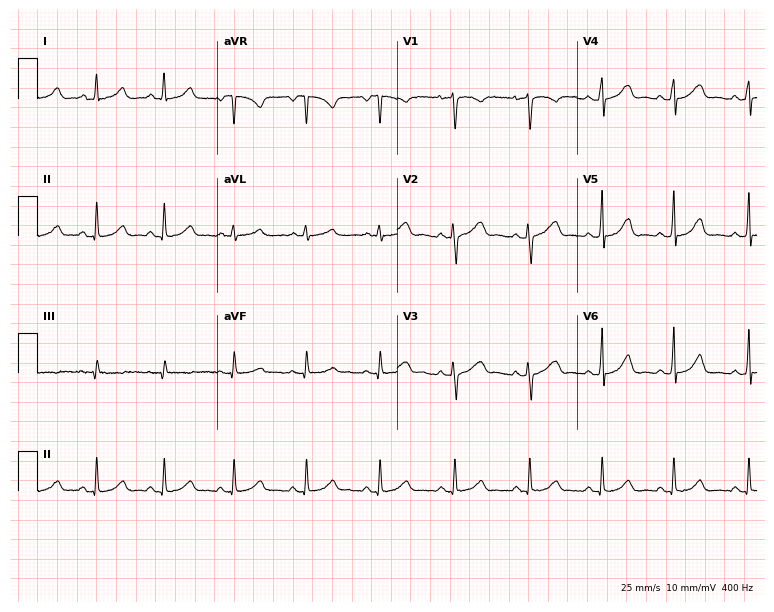
Resting 12-lead electrocardiogram. Patient: a 38-year-old woman. Read as a normal ECG.